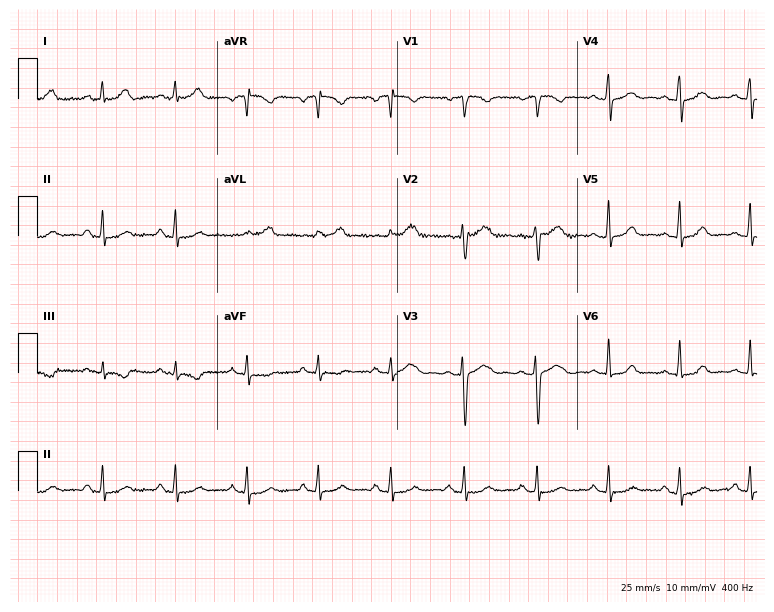
ECG — a woman, 47 years old. Screened for six findings — first-degree AV block, right bundle branch block, left bundle branch block, sinus bradycardia, atrial fibrillation, sinus tachycardia — none is recorded.